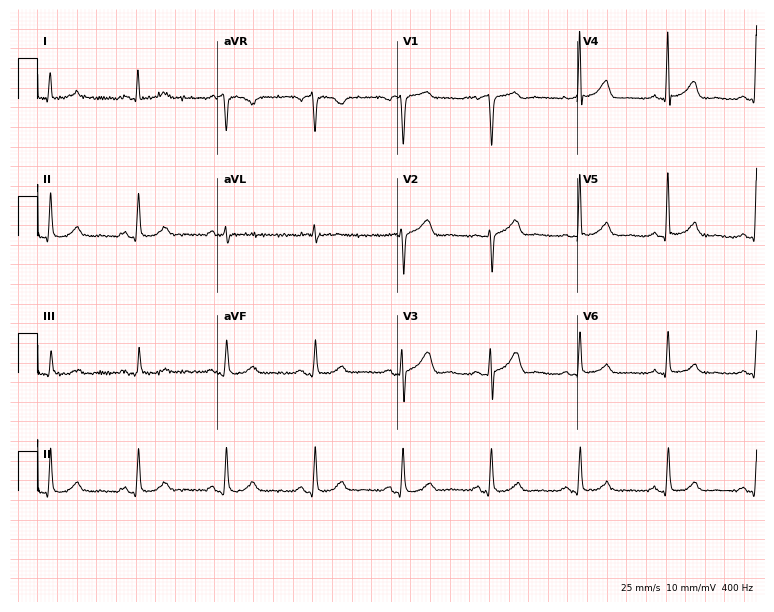
Electrocardiogram (7.3-second recording at 400 Hz), a male patient, 68 years old. Overall reading on record: normal ECG.